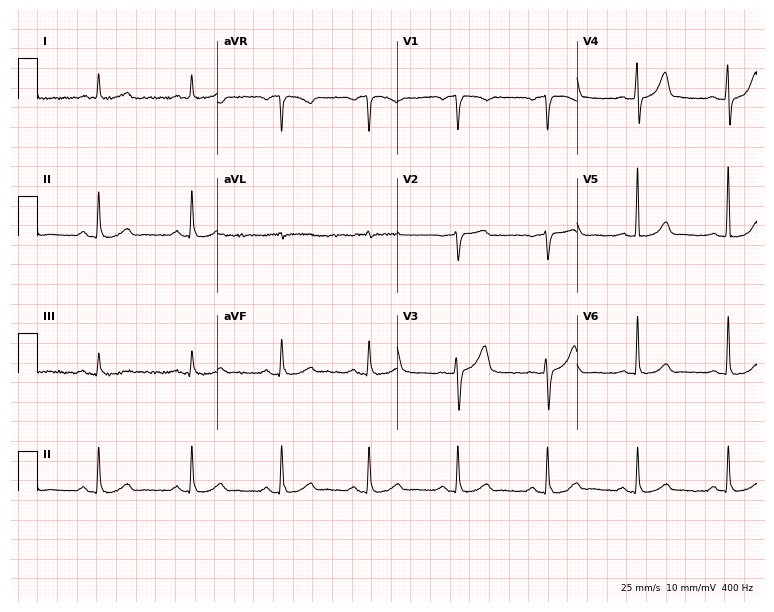
12-lead ECG from a 68-year-old male. Recorded interpretation: within normal limits.